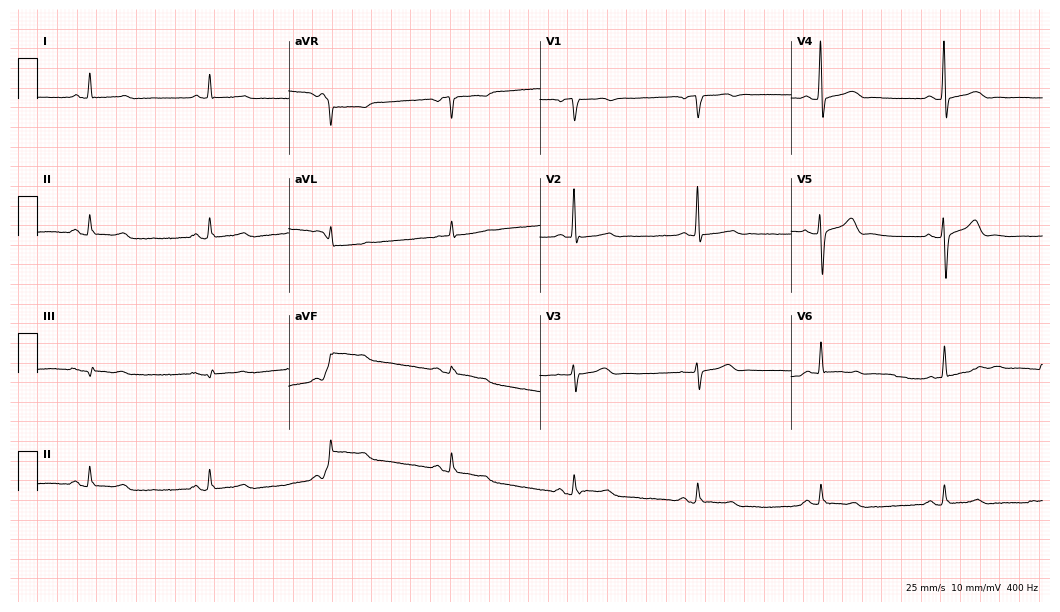
Electrocardiogram (10.2-second recording at 400 Hz), a man, 78 years old. Of the six screened findings (first-degree AV block, right bundle branch block, left bundle branch block, sinus bradycardia, atrial fibrillation, sinus tachycardia), none is recorded. Other findings, if any, are not listed.